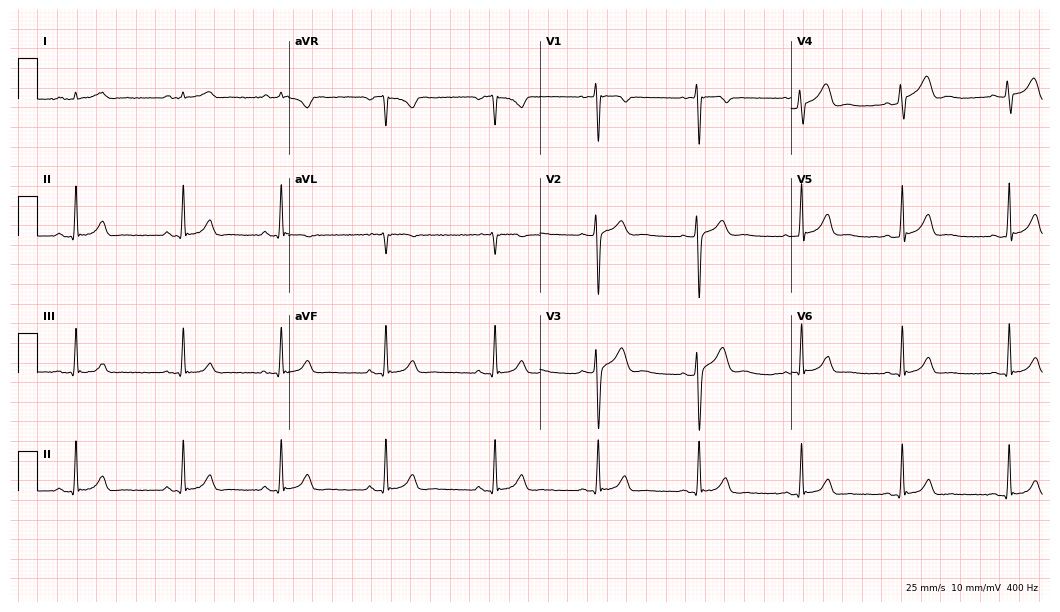
Standard 12-lead ECG recorded from a man, 24 years old. Read as a normal ECG.